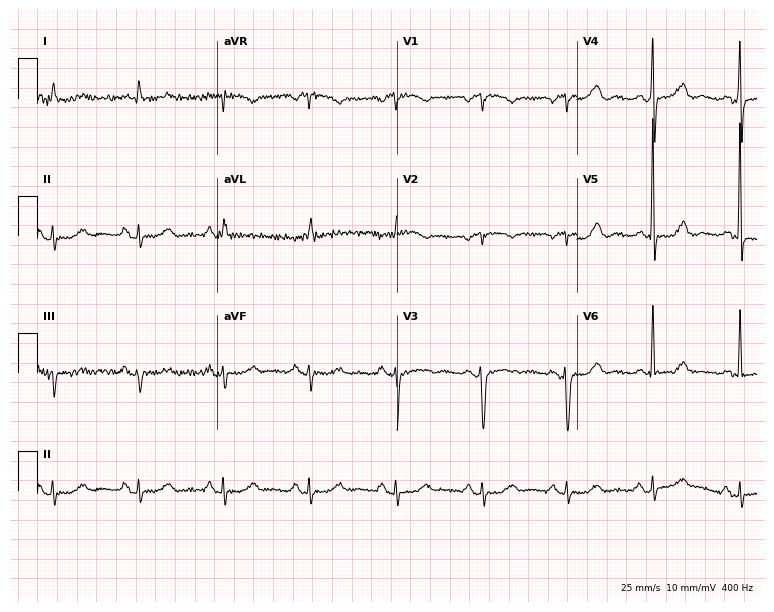
ECG — an 80-year-old female patient. Labelled as a normal ECG.